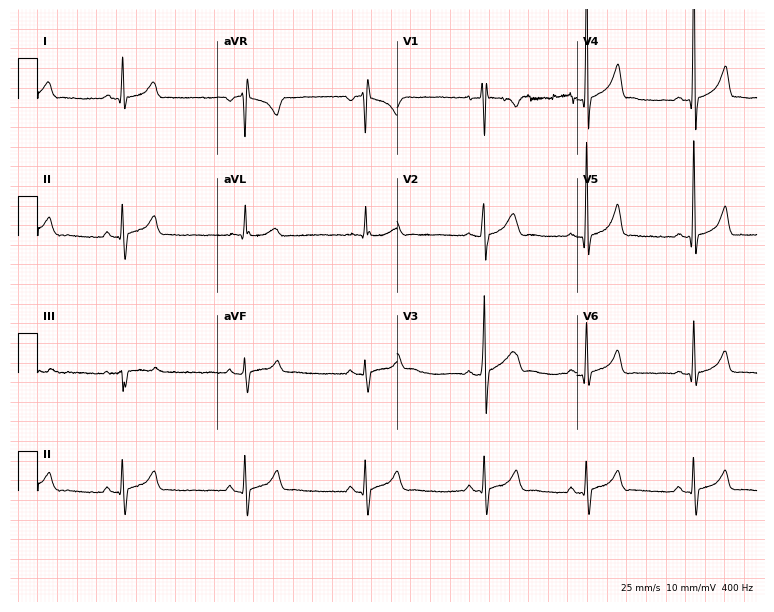
Resting 12-lead electrocardiogram. Patient: a male, 17 years old. None of these six findings is recorded: first-degree AV block, right bundle branch block, left bundle branch block, sinus bradycardia, atrial fibrillation, sinus tachycardia.